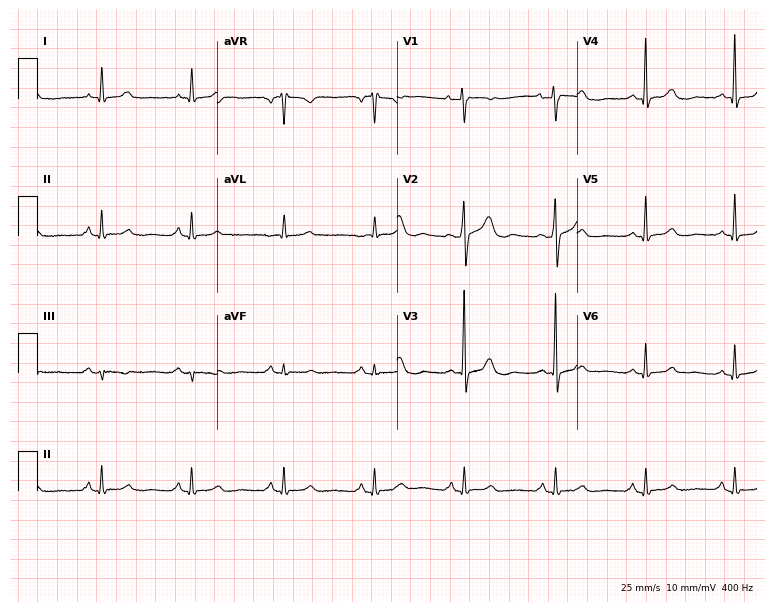
Resting 12-lead electrocardiogram (7.3-second recording at 400 Hz). Patient: a female, 76 years old. Read as a normal ECG.